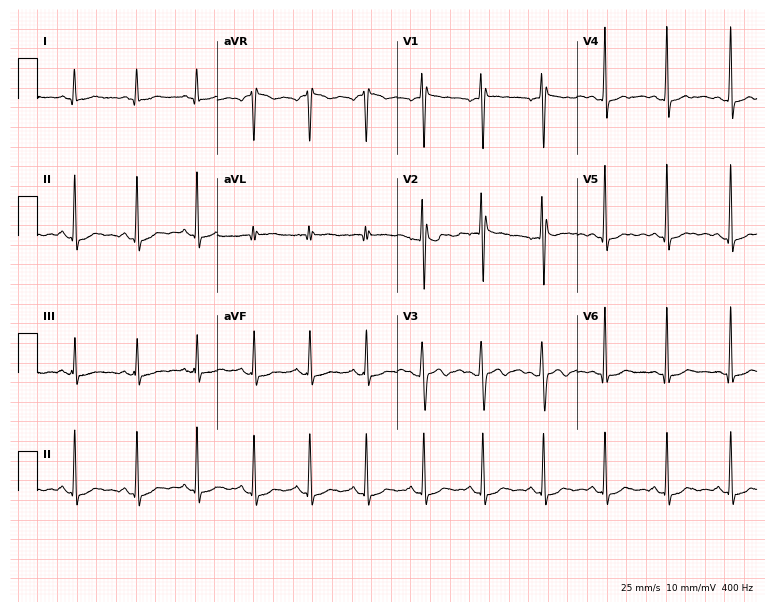
Electrocardiogram, a 23-year-old male. Of the six screened findings (first-degree AV block, right bundle branch block, left bundle branch block, sinus bradycardia, atrial fibrillation, sinus tachycardia), none is recorded.